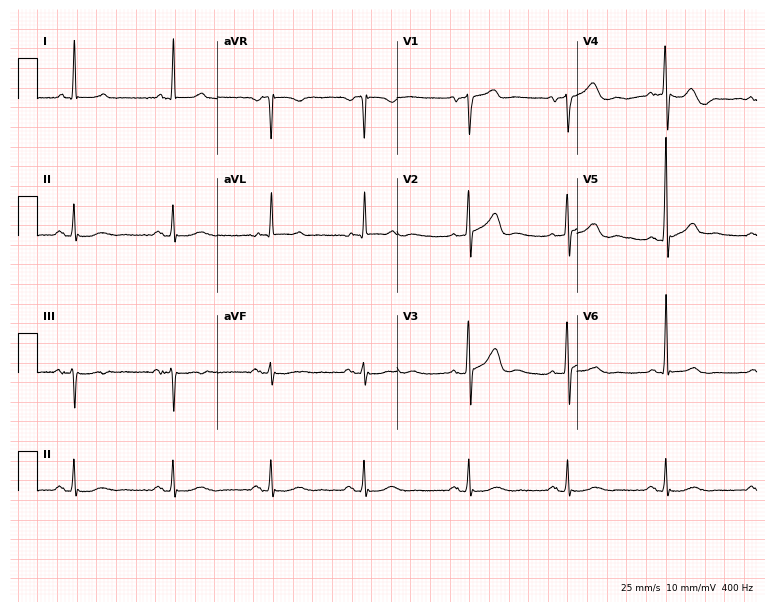
Resting 12-lead electrocardiogram. Patient: a 74-year-old man. None of these six findings is recorded: first-degree AV block, right bundle branch block, left bundle branch block, sinus bradycardia, atrial fibrillation, sinus tachycardia.